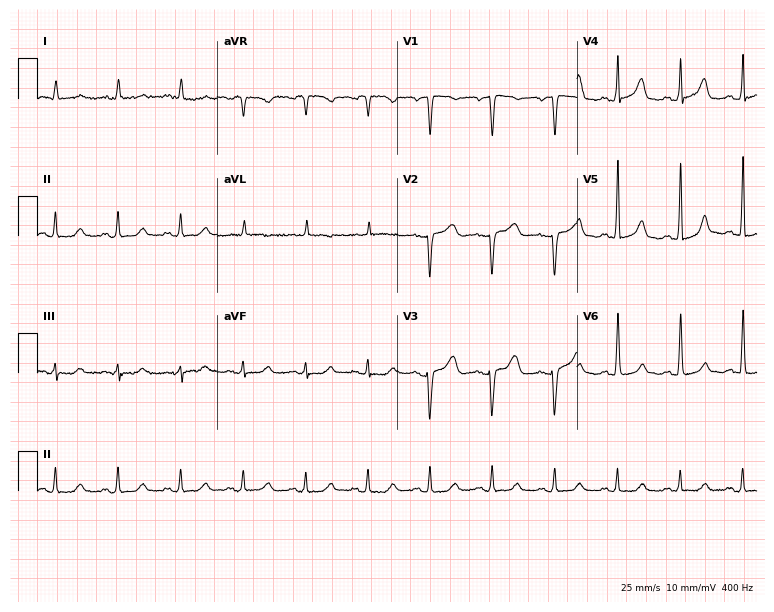
12-lead ECG from a female, 76 years old. No first-degree AV block, right bundle branch block, left bundle branch block, sinus bradycardia, atrial fibrillation or sinus tachycardia recorded for this tracing.